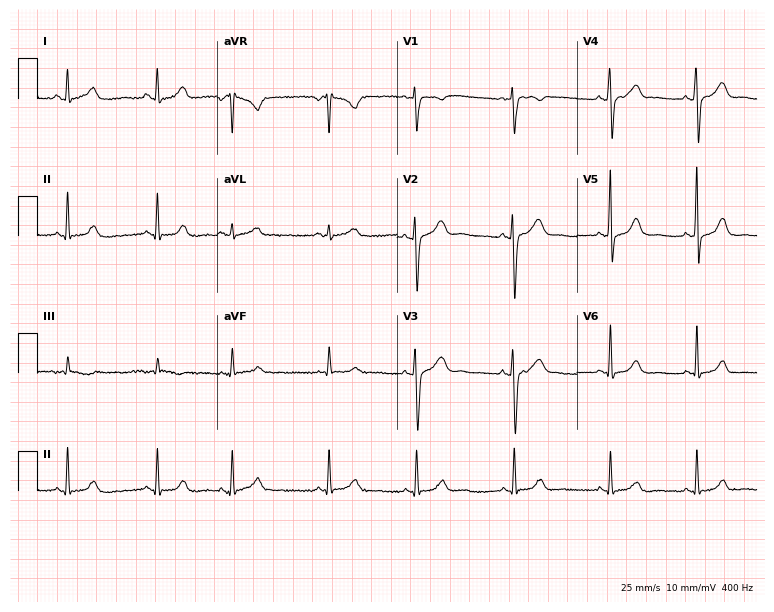
12-lead ECG from a female, 50 years old. No first-degree AV block, right bundle branch block, left bundle branch block, sinus bradycardia, atrial fibrillation or sinus tachycardia recorded for this tracing. Only these six findings were labelled.